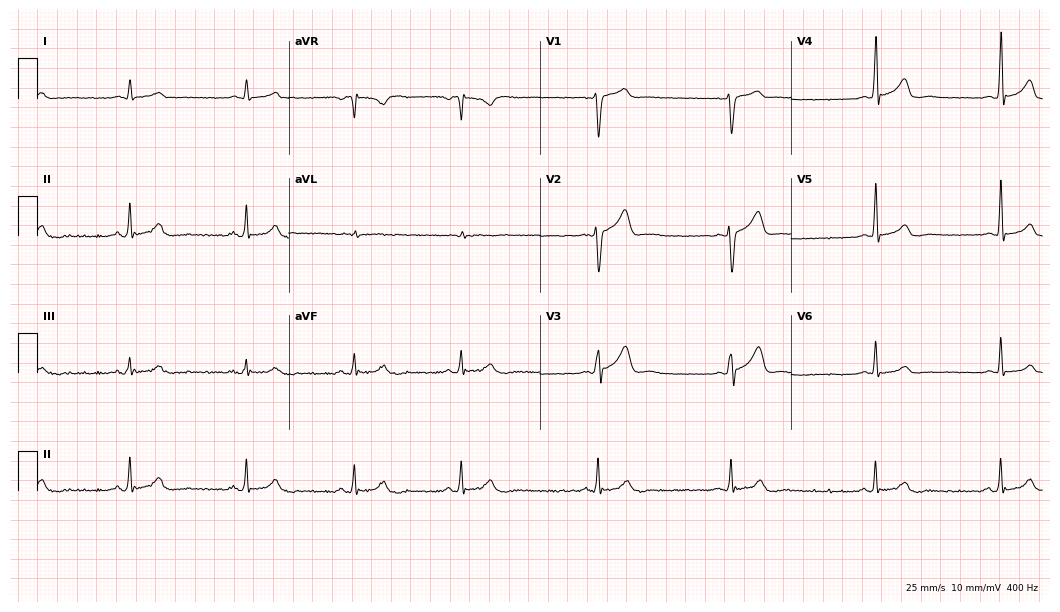
Electrocardiogram (10.2-second recording at 400 Hz), a 47-year-old male. Of the six screened findings (first-degree AV block, right bundle branch block (RBBB), left bundle branch block (LBBB), sinus bradycardia, atrial fibrillation (AF), sinus tachycardia), none is recorded. Only these six findings were labelled.